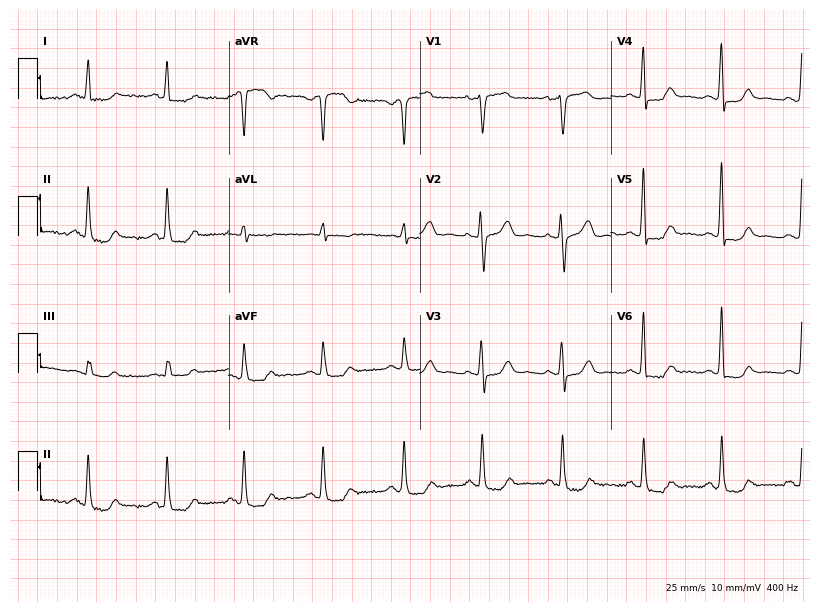
Resting 12-lead electrocardiogram. Patient: a 57-year-old female. None of these six findings is recorded: first-degree AV block, right bundle branch block, left bundle branch block, sinus bradycardia, atrial fibrillation, sinus tachycardia.